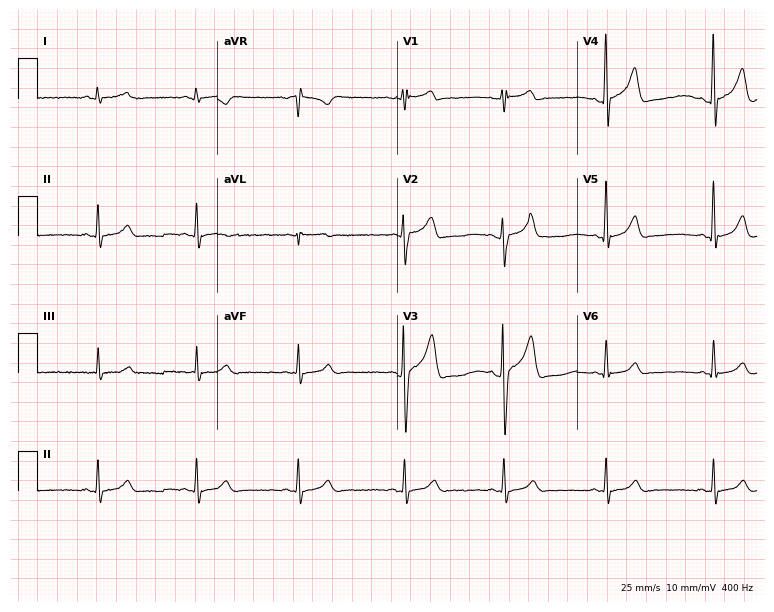
Standard 12-lead ECG recorded from a man, 19 years old (7.3-second recording at 400 Hz). Read as a normal ECG.